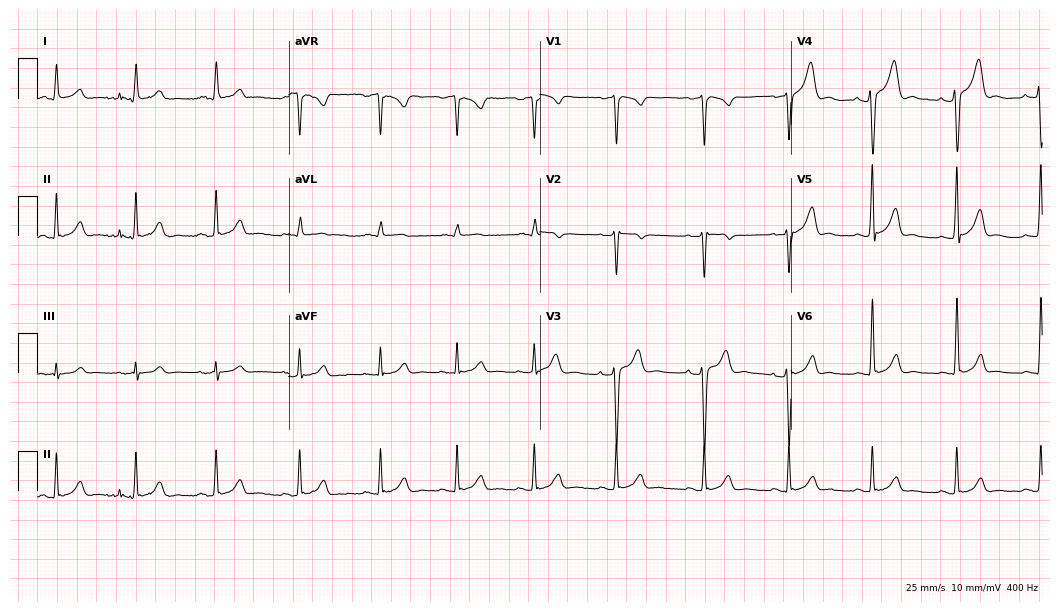
Standard 12-lead ECG recorded from a 21-year-old man. Read as a normal ECG.